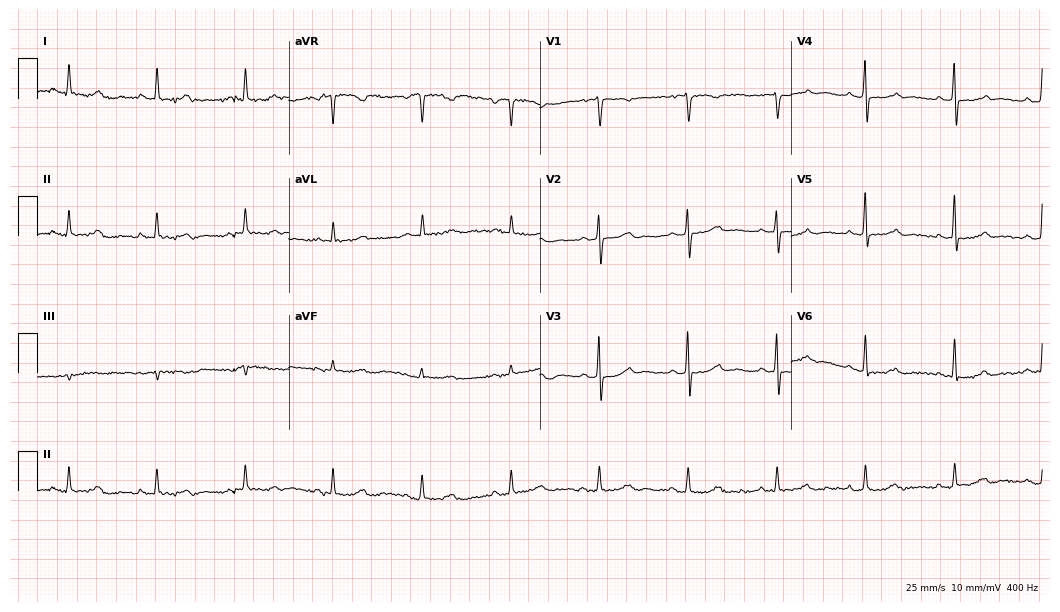
Standard 12-lead ECG recorded from an 81-year-old male patient (10.2-second recording at 400 Hz). None of these six findings is recorded: first-degree AV block, right bundle branch block (RBBB), left bundle branch block (LBBB), sinus bradycardia, atrial fibrillation (AF), sinus tachycardia.